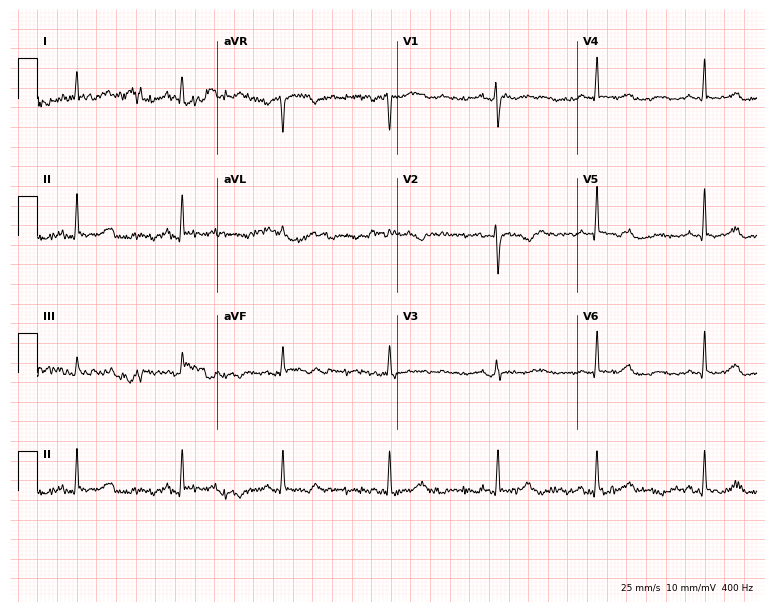
Standard 12-lead ECG recorded from a 44-year-old female patient. None of these six findings is recorded: first-degree AV block, right bundle branch block, left bundle branch block, sinus bradycardia, atrial fibrillation, sinus tachycardia. Other findings, if any, are not listed.